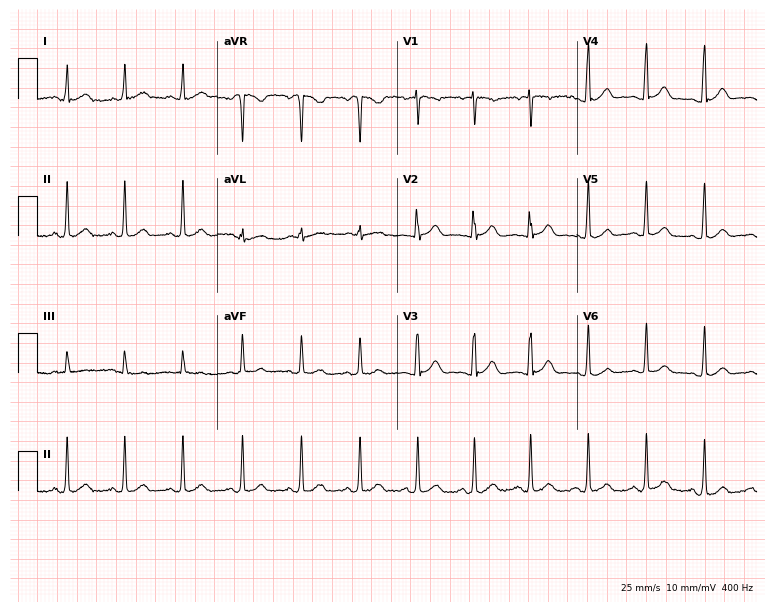
12-lead ECG (7.3-second recording at 400 Hz) from a 19-year-old woman. Findings include sinus tachycardia (a sinus rate of 100 beats per minute or more).